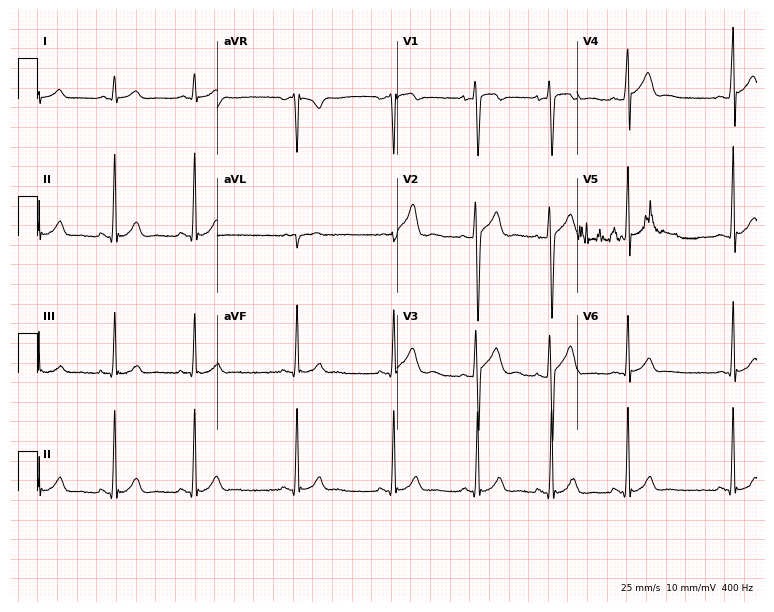
12-lead ECG (7.3-second recording at 400 Hz) from a male patient, 17 years old. Labelled as a normal ECG.